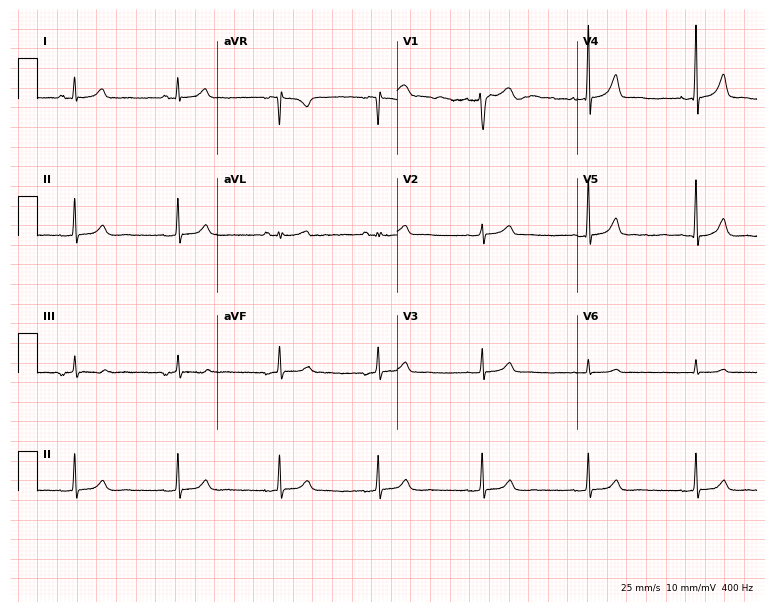
Resting 12-lead electrocardiogram (7.3-second recording at 400 Hz). Patient: a female, 44 years old. None of these six findings is recorded: first-degree AV block, right bundle branch block, left bundle branch block, sinus bradycardia, atrial fibrillation, sinus tachycardia.